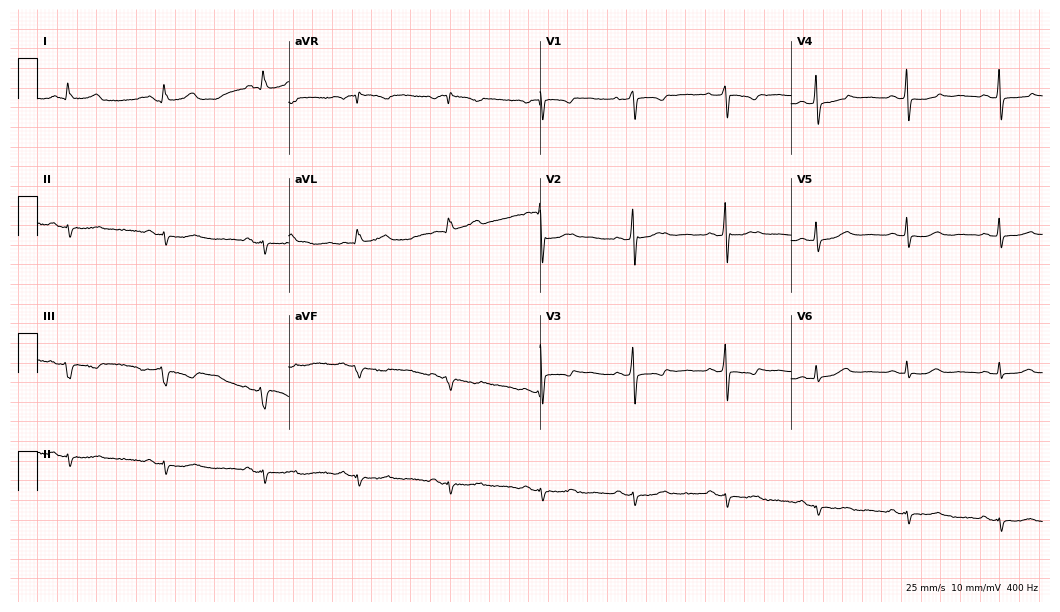
Resting 12-lead electrocardiogram (10.2-second recording at 400 Hz). Patient: a male, 70 years old. None of these six findings is recorded: first-degree AV block, right bundle branch block (RBBB), left bundle branch block (LBBB), sinus bradycardia, atrial fibrillation (AF), sinus tachycardia. Other findings, if any, are not listed.